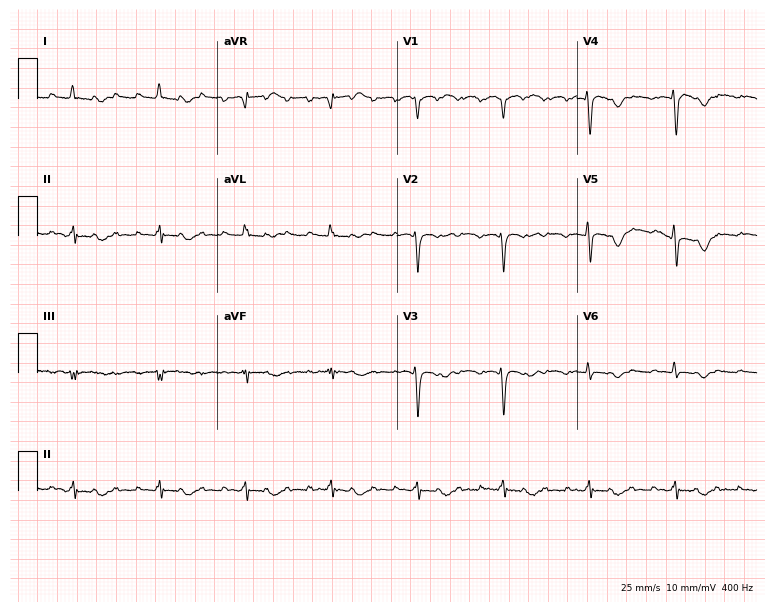
12-lead ECG from a woman, 82 years old. Screened for six findings — first-degree AV block, right bundle branch block, left bundle branch block, sinus bradycardia, atrial fibrillation, sinus tachycardia — none is recorded.